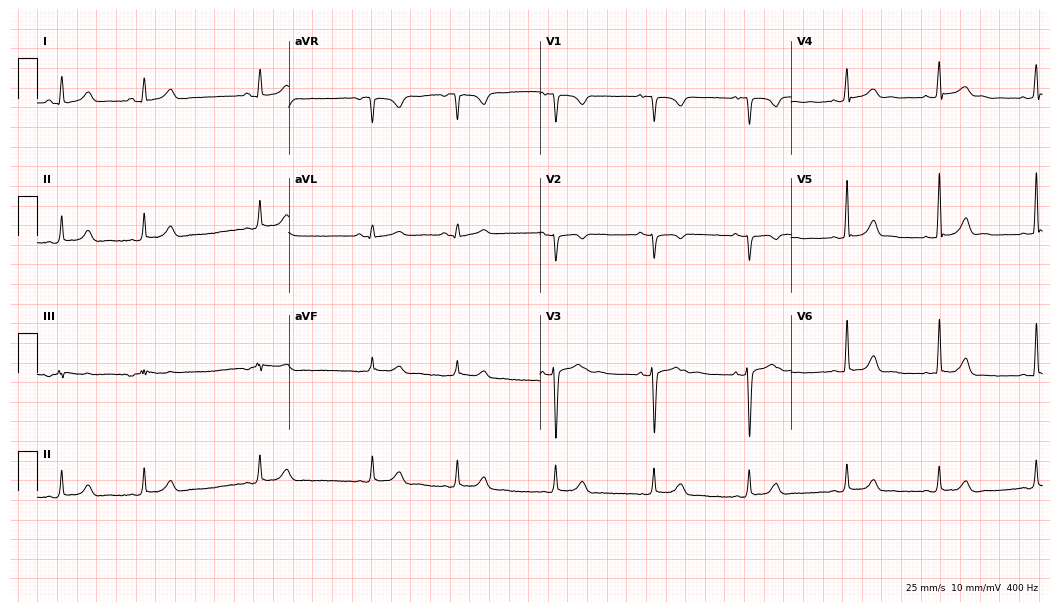
Standard 12-lead ECG recorded from an 18-year-old female patient. Read as a normal ECG.